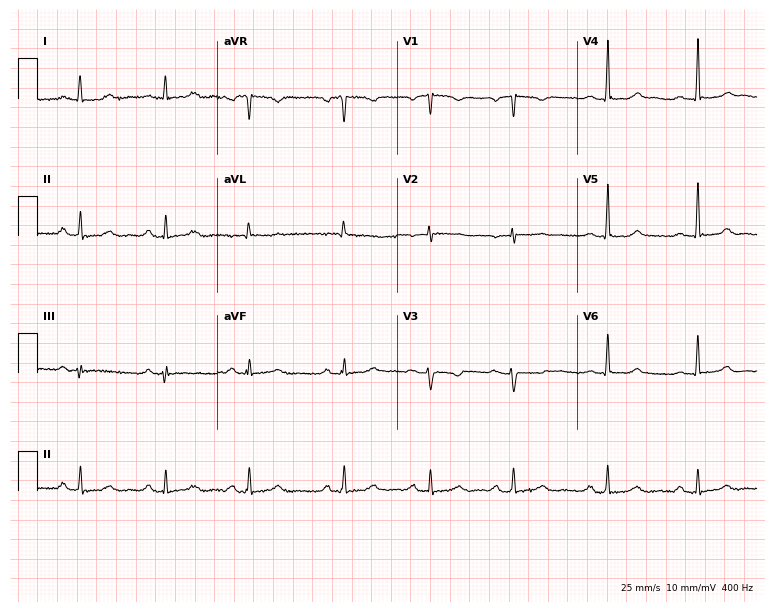
Electrocardiogram, a woman, 30 years old. Of the six screened findings (first-degree AV block, right bundle branch block, left bundle branch block, sinus bradycardia, atrial fibrillation, sinus tachycardia), none is recorded.